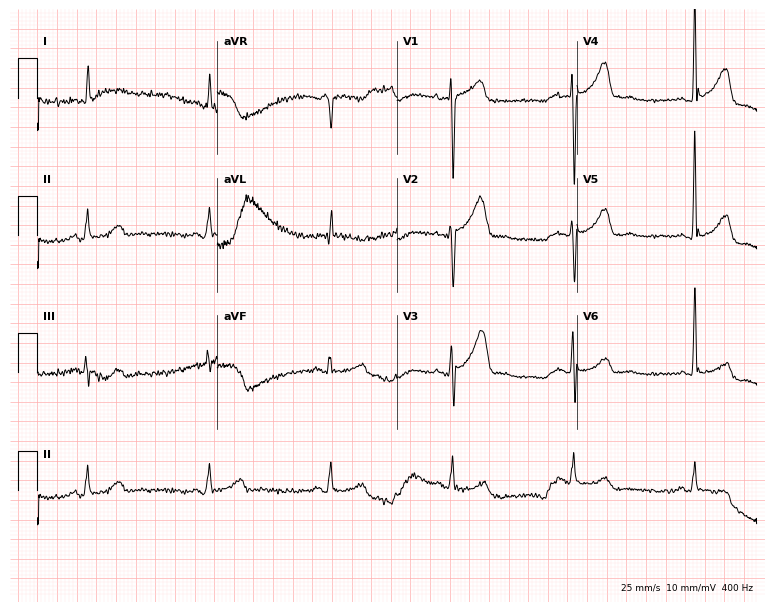
ECG — a man, 80 years old. Findings include right bundle branch block (RBBB).